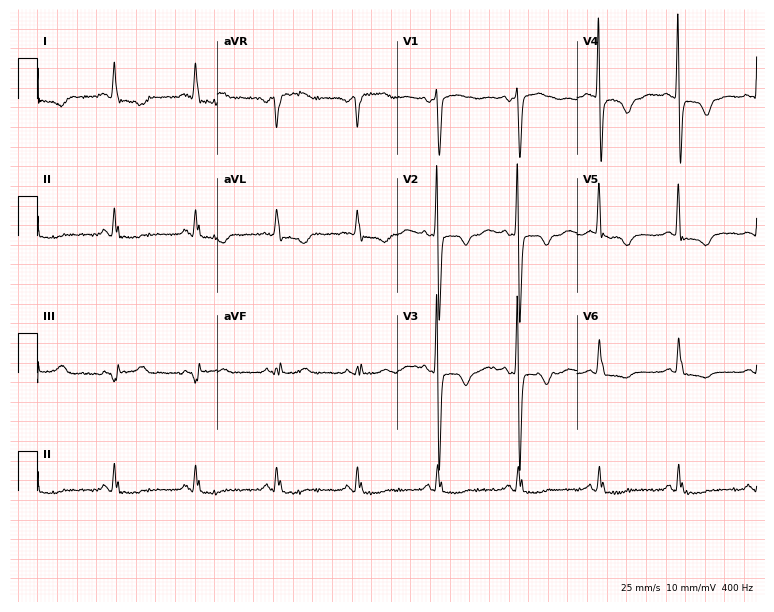
12-lead ECG from a 69-year-old female patient. No first-degree AV block, right bundle branch block, left bundle branch block, sinus bradycardia, atrial fibrillation or sinus tachycardia recorded for this tracing.